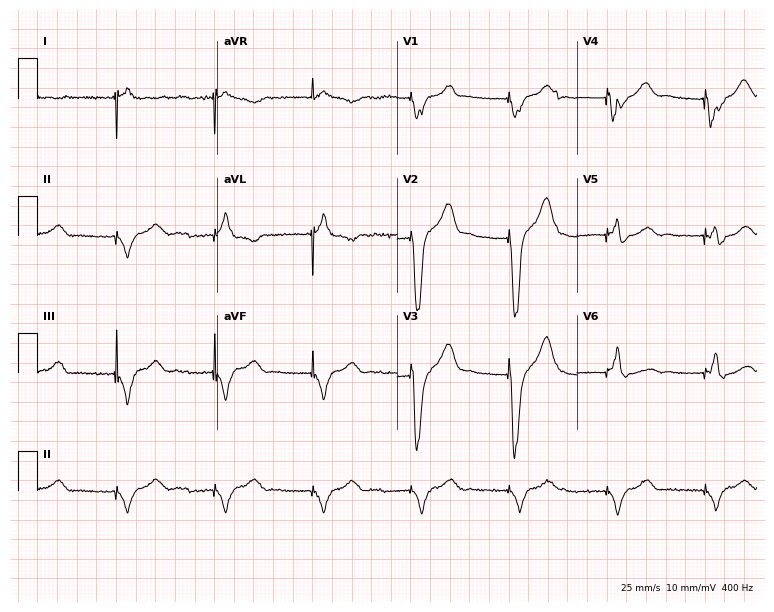
Electrocardiogram (7.3-second recording at 400 Hz), a 68-year-old male. Of the six screened findings (first-degree AV block, right bundle branch block, left bundle branch block, sinus bradycardia, atrial fibrillation, sinus tachycardia), none is recorded. Other findings, if any, are not listed.